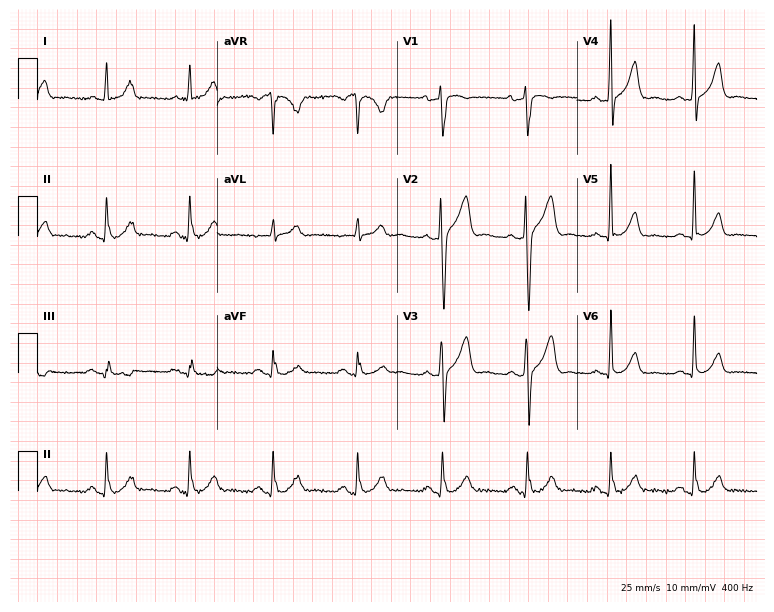
ECG (7.3-second recording at 400 Hz) — a 75-year-old man. Labelled as a normal ECG.